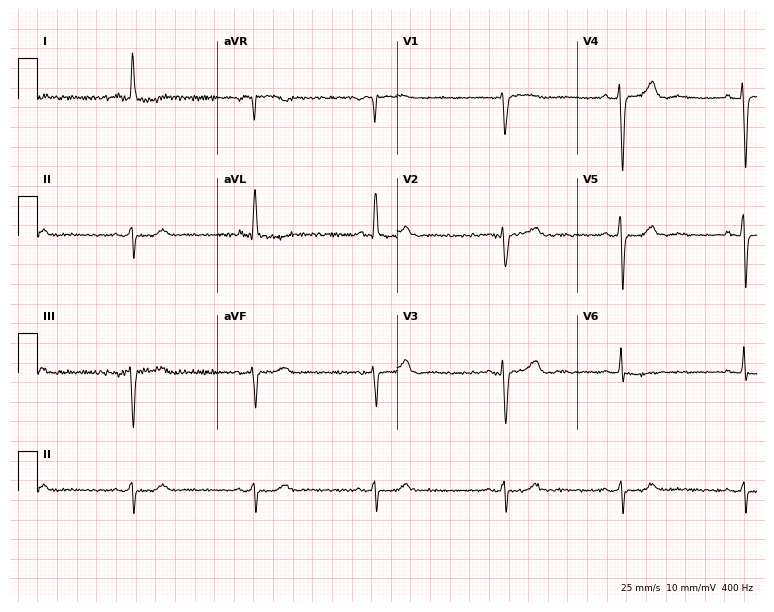
12-lead ECG (7.3-second recording at 400 Hz) from a female, 66 years old. Findings include sinus bradycardia (a sinus rate of 50 beats per minute or less).